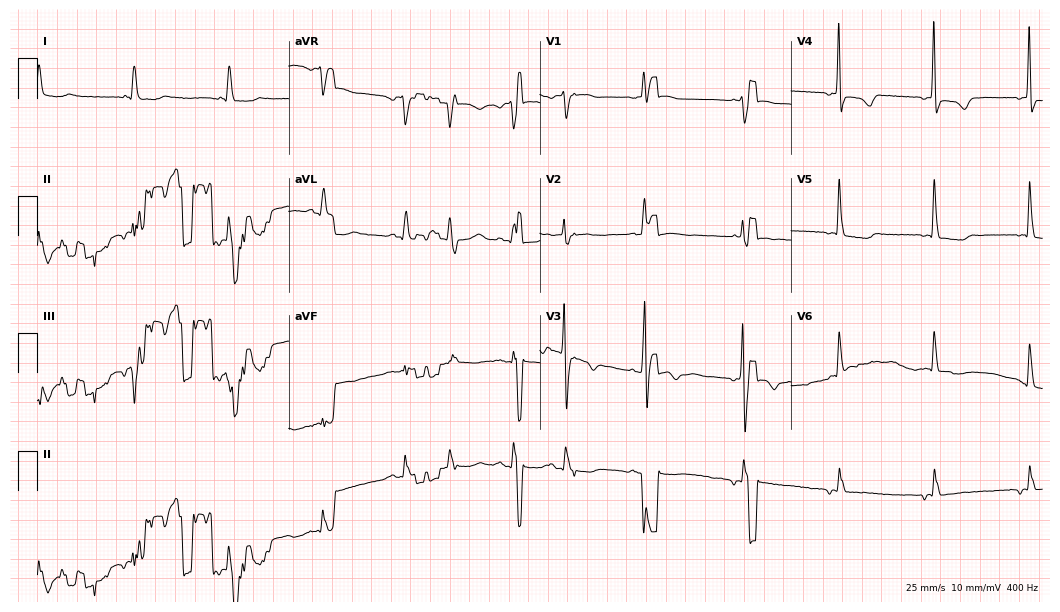
Resting 12-lead electrocardiogram (10.2-second recording at 400 Hz). Patient: a female, 72 years old. None of these six findings is recorded: first-degree AV block, right bundle branch block, left bundle branch block, sinus bradycardia, atrial fibrillation, sinus tachycardia. Findings outside these six are not listed.